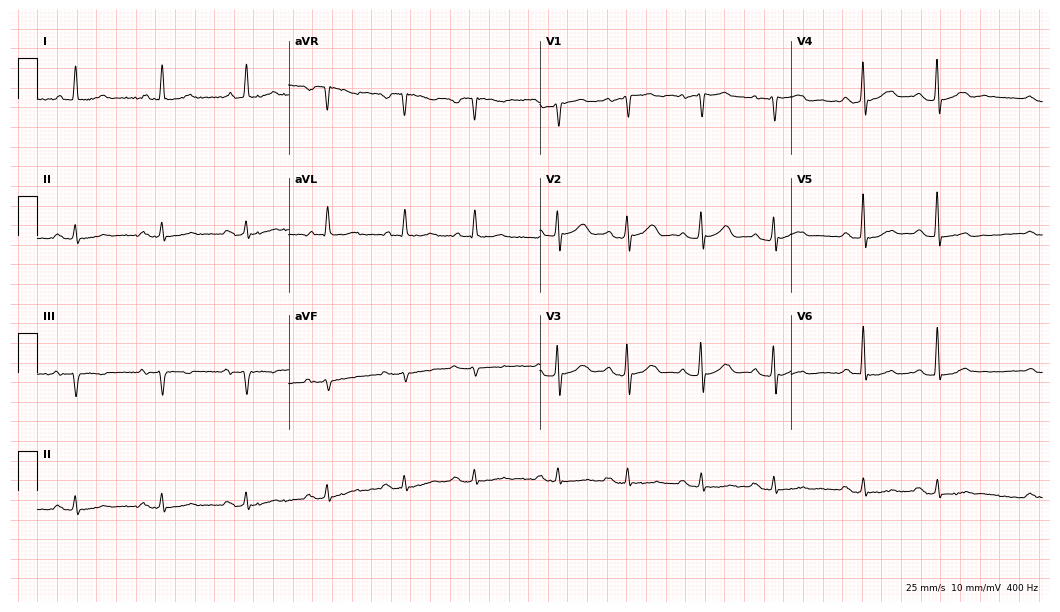
Standard 12-lead ECG recorded from a man, 84 years old. None of these six findings is recorded: first-degree AV block, right bundle branch block (RBBB), left bundle branch block (LBBB), sinus bradycardia, atrial fibrillation (AF), sinus tachycardia. Only these six findings were labelled.